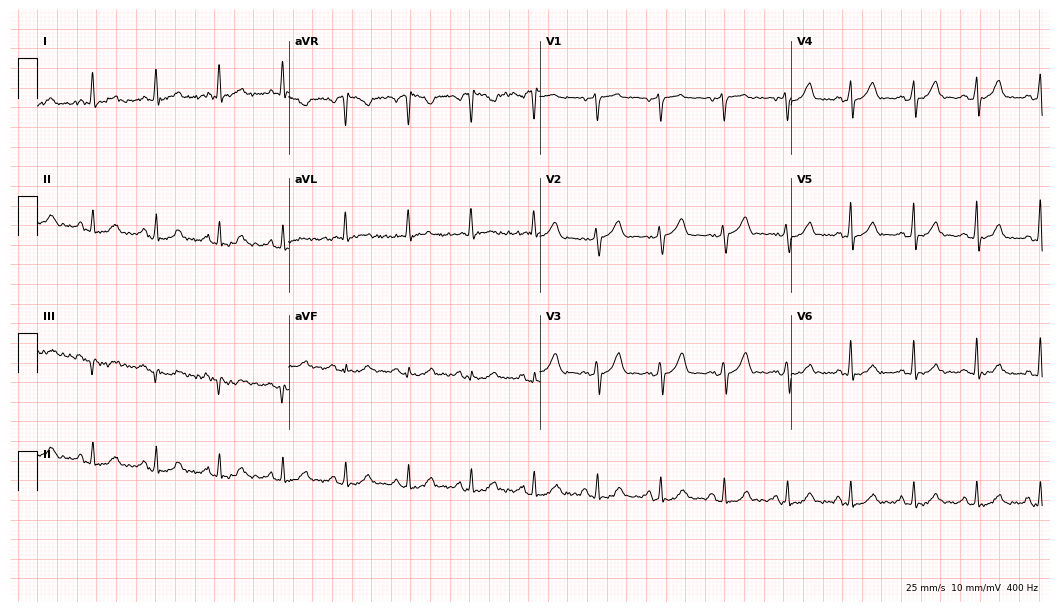
Resting 12-lead electrocardiogram (10.2-second recording at 400 Hz). Patient: a 52-year-old man. Read as a normal ECG.